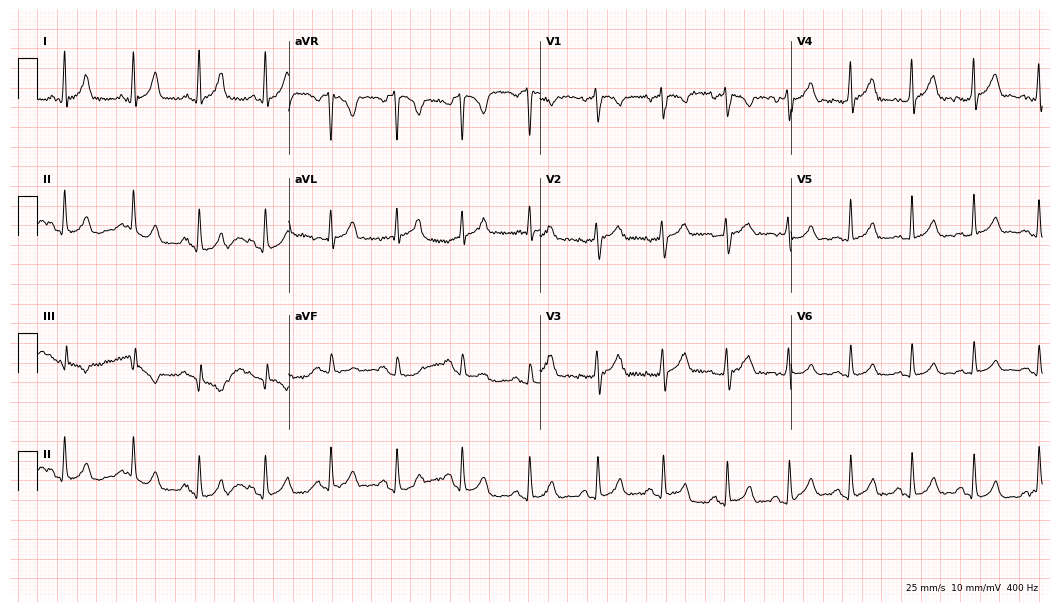
Electrocardiogram (10.2-second recording at 400 Hz), a 20-year-old female. Overall reading on record: normal ECG.